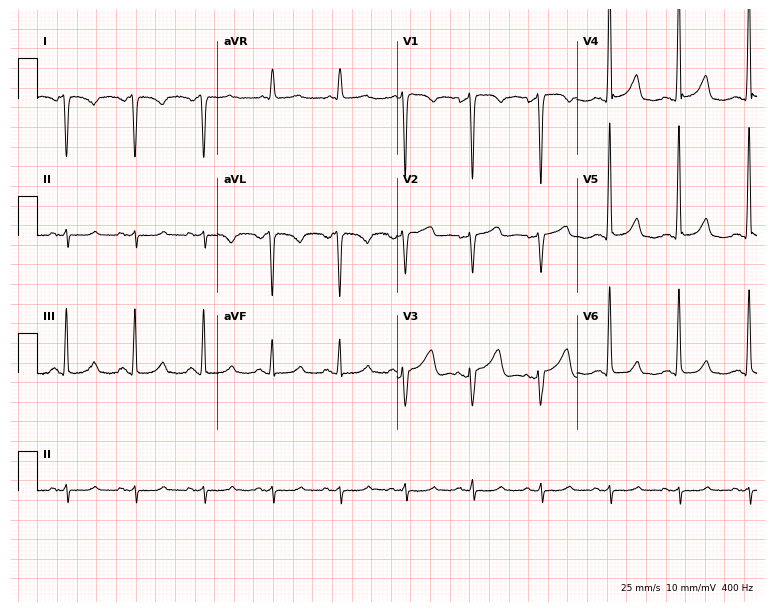
12-lead ECG (7.3-second recording at 400 Hz) from a female patient, 54 years old. Screened for six findings — first-degree AV block, right bundle branch block, left bundle branch block, sinus bradycardia, atrial fibrillation, sinus tachycardia — none is recorded. Only these six findings were labelled.